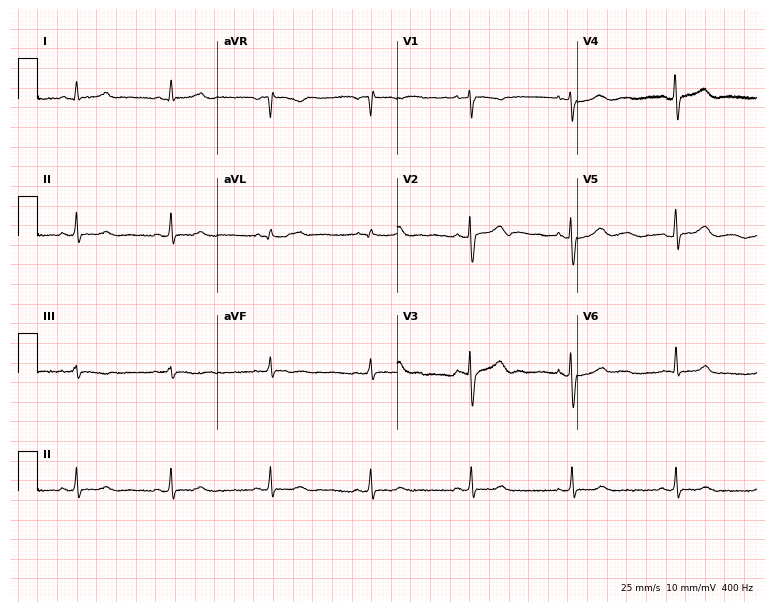
12-lead ECG from a female patient, 32 years old. Recorded interpretation: within normal limits.